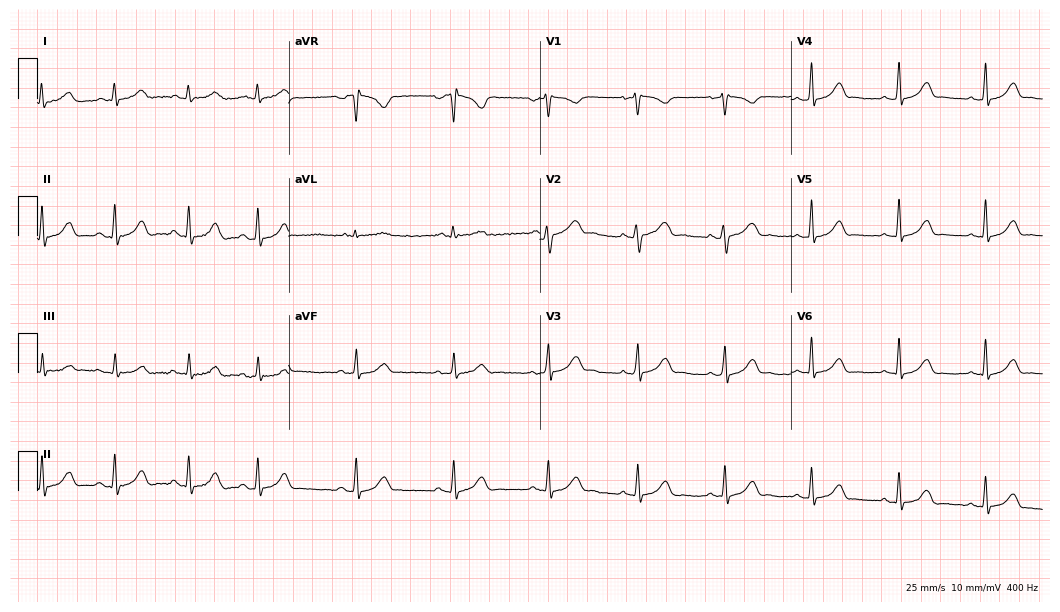
12-lead ECG (10.2-second recording at 400 Hz) from a woman, 37 years old. Labelled as a normal ECG.